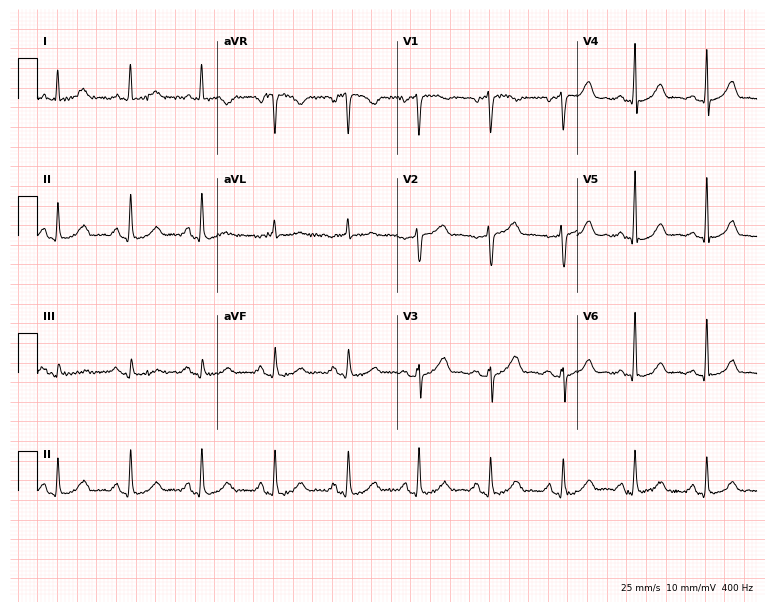
12-lead ECG from a 46-year-old woman (7.3-second recording at 400 Hz). Recorded interpretation: within normal limits.